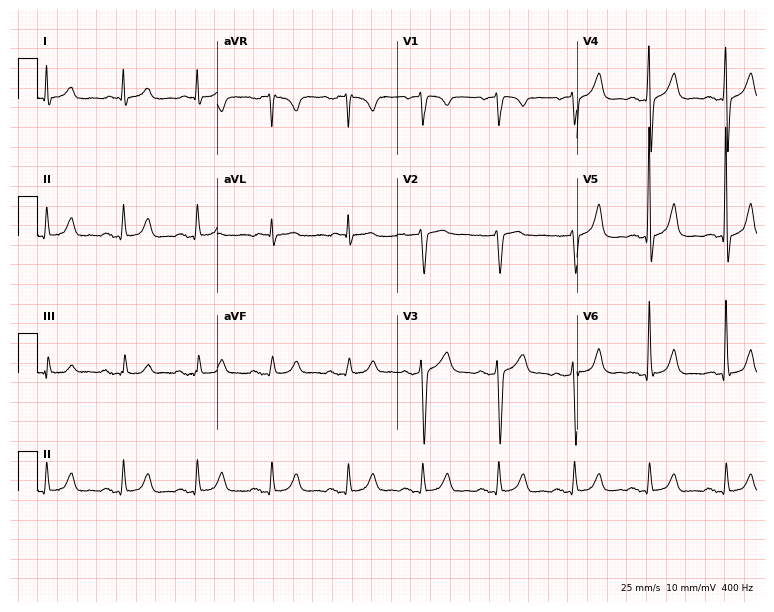
Resting 12-lead electrocardiogram (7.3-second recording at 400 Hz). Patient: a 77-year-old male. Read as a normal ECG.